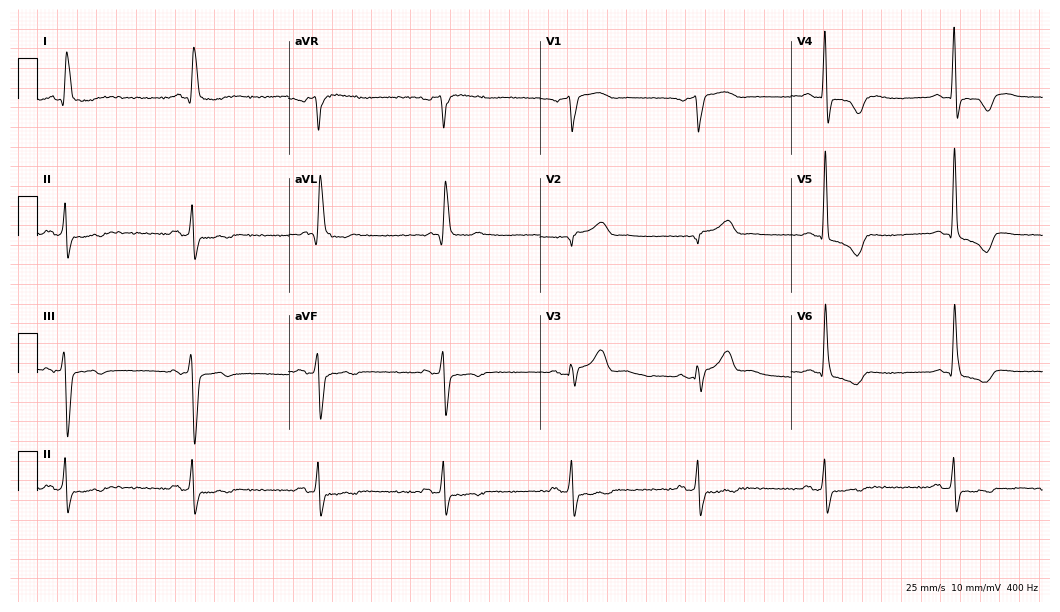
12-lead ECG from an 81-year-old male. Findings include sinus bradycardia (a sinus rate of 50 beats per minute or less).